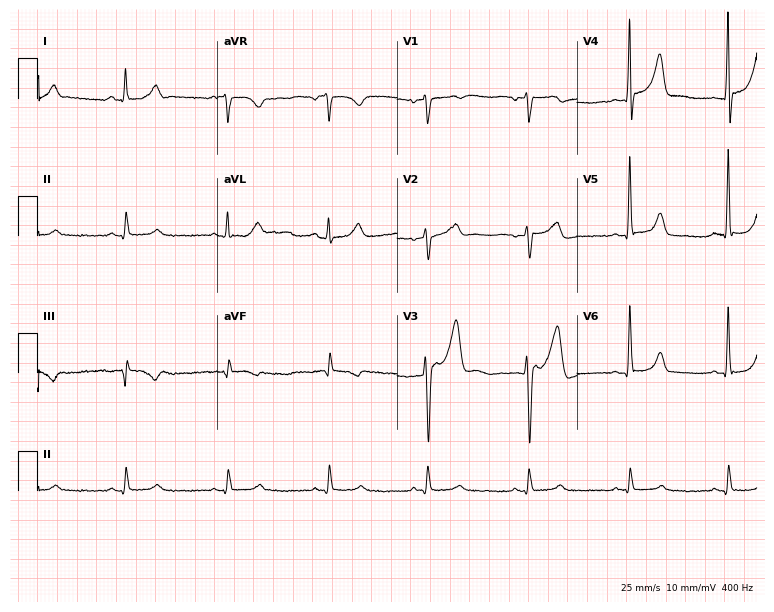
Resting 12-lead electrocardiogram (7.3-second recording at 400 Hz). Patient: a male, 54 years old. None of these six findings is recorded: first-degree AV block, right bundle branch block, left bundle branch block, sinus bradycardia, atrial fibrillation, sinus tachycardia.